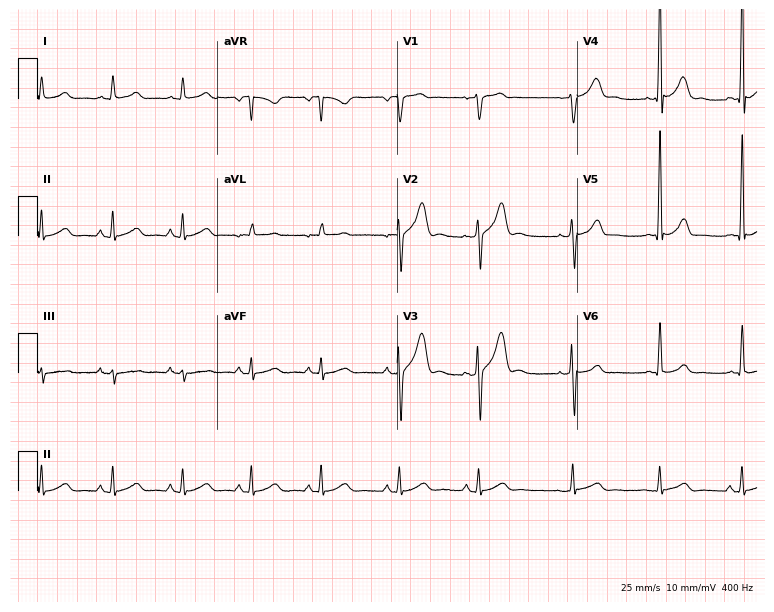
Electrocardiogram, a 34-year-old male patient. Of the six screened findings (first-degree AV block, right bundle branch block, left bundle branch block, sinus bradycardia, atrial fibrillation, sinus tachycardia), none is recorded.